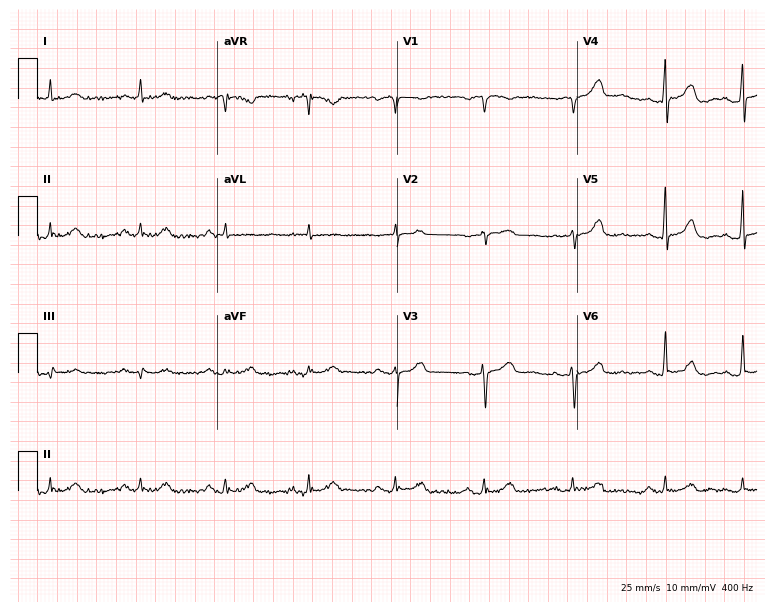
Standard 12-lead ECG recorded from a 67-year-old female patient. Read as a normal ECG.